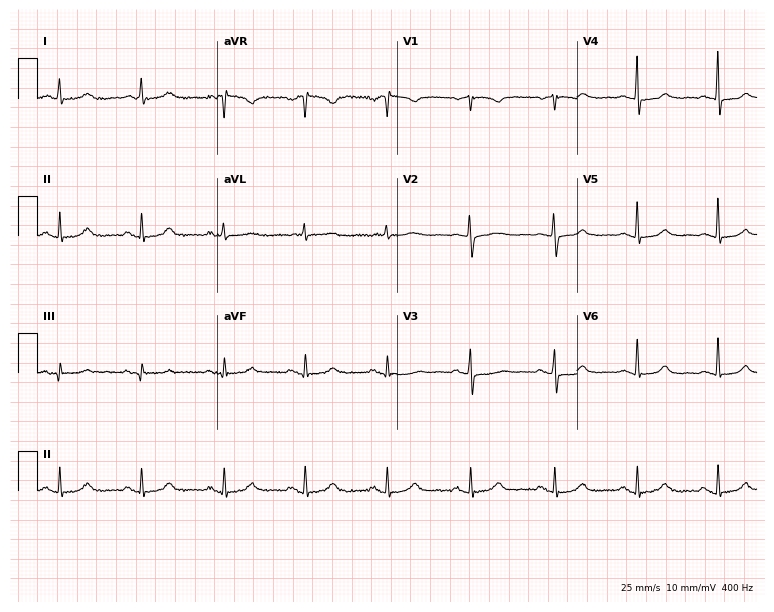
Standard 12-lead ECG recorded from a 71-year-old woman (7.3-second recording at 400 Hz). Read as a normal ECG.